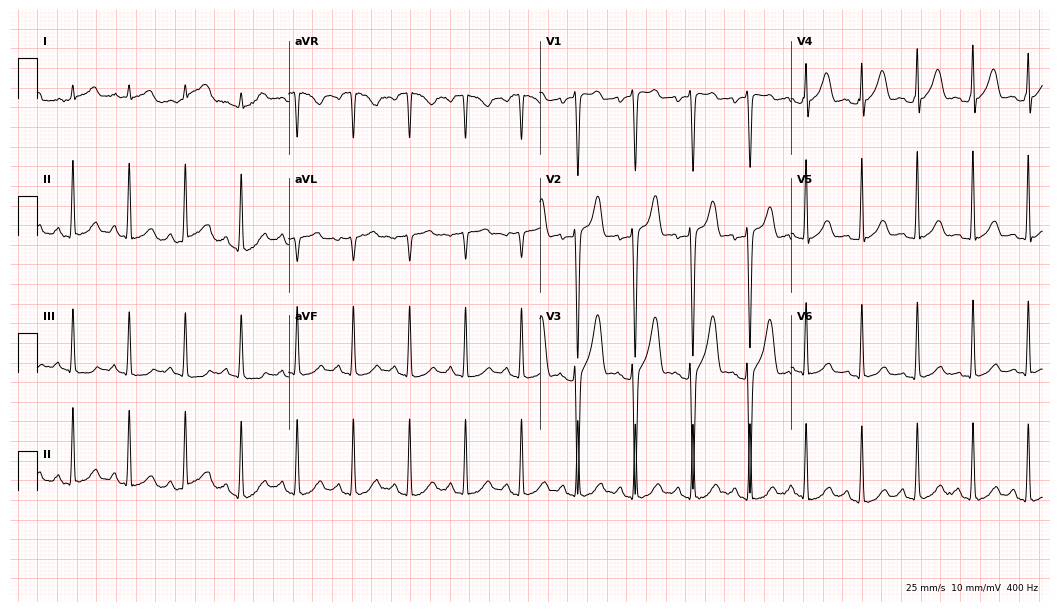
ECG (10.2-second recording at 400 Hz) — a man, 30 years old. Findings include sinus tachycardia (a sinus rate of 100 beats per minute or more).